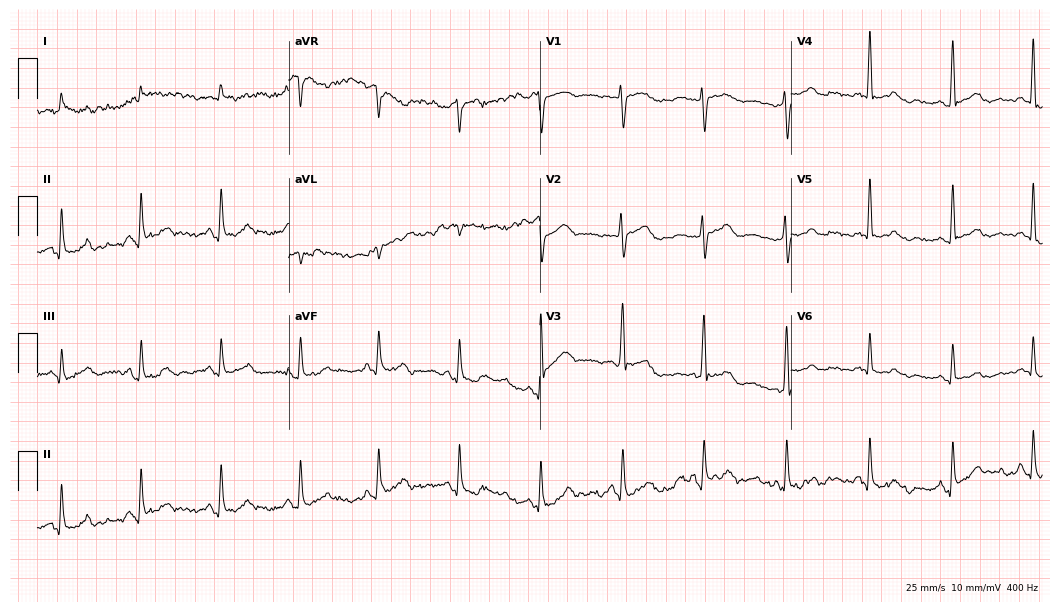
Electrocardiogram, a 57-year-old female patient. Overall reading on record: normal ECG.